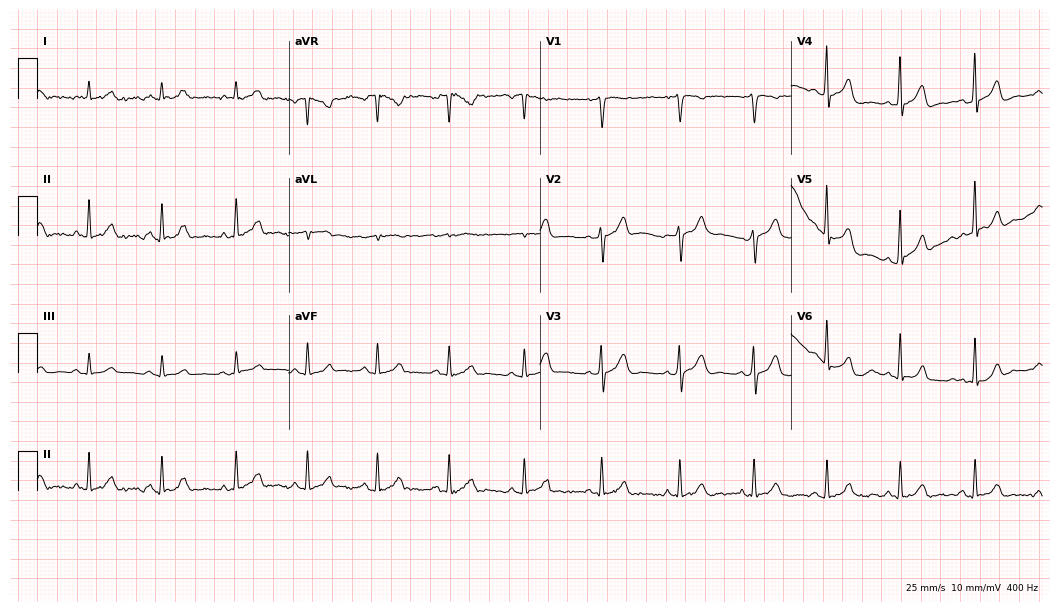
Standard 12-lead ECG recorded from a male, 54 years old (10.2-second recording at 400 Hz). Read as a normal ECG.